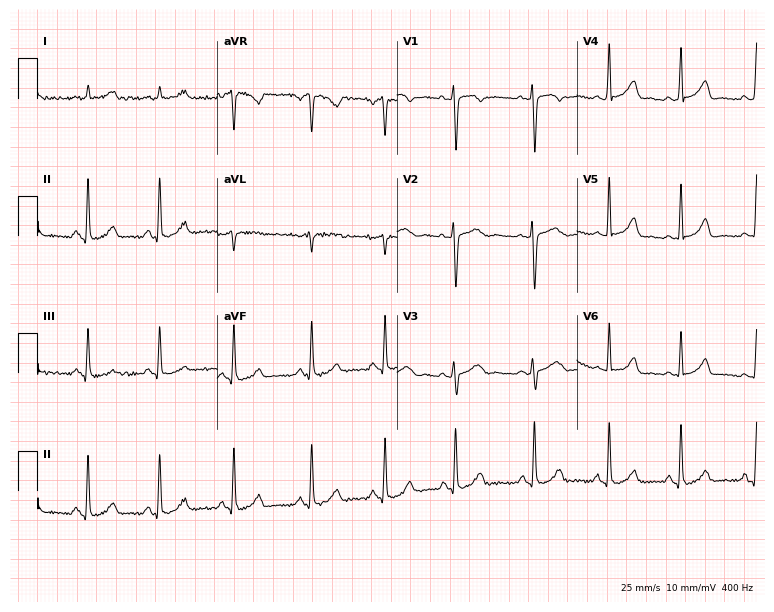
Resting 12-lead electrocardiogram (7.3-second recording at 400 Hz). Patient: a 30-year-old male. None of these six findings is recorded: first-degree AV block, right bundle branch block, left bundle branch block, sinus bradycardia, atrial fibrillation, sinus tachycardia. Other findings, if any, are not listed.